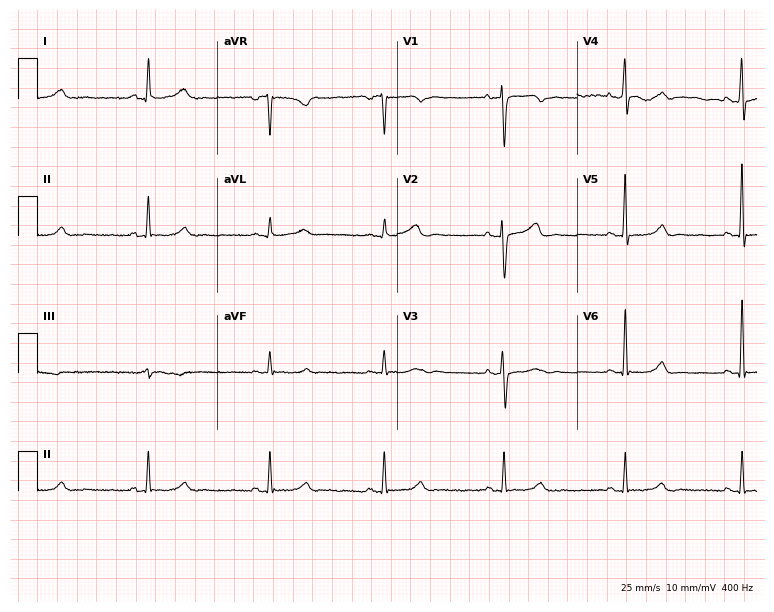
Resting 12-lead electrocardiogram. Patient: a 38-year-old woman. None of these six findings is recorded: first-degree AV block, right bundle branch block, left bundle branch block, sinus bradycardia, atrial fibrillation, sinus tachycardia. Other findings, if any, are not listed.